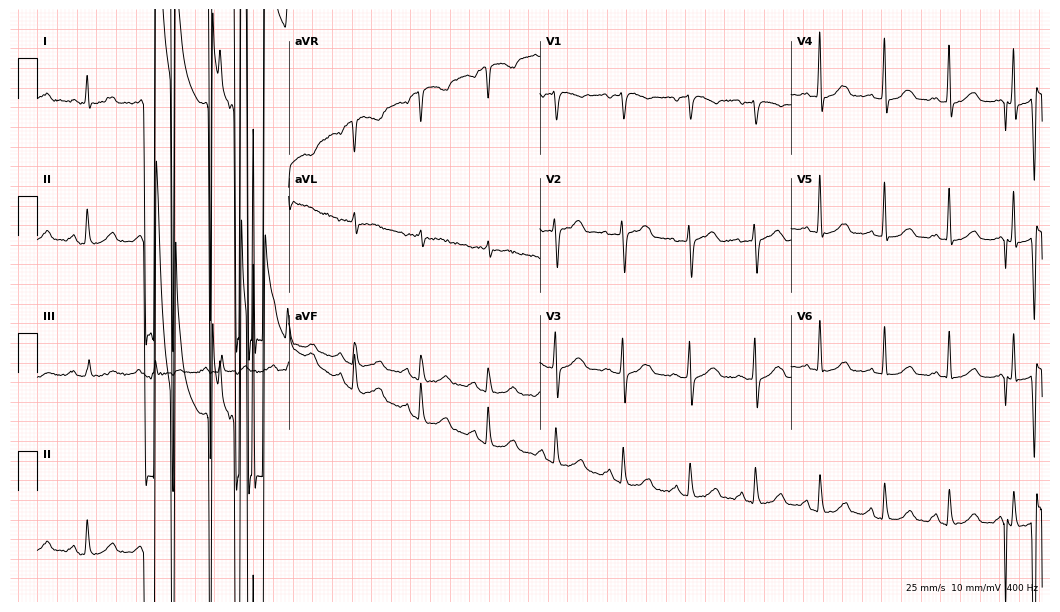
Electrocardiogram (10.2-second recording at 400 Hz), a female, 54 years old. Of the six screened findings (first-degree AV block, right bundle branch block, left bundle branch block, sinus bradycardia, atrial fibrillation, sinus tachycardia), none is recorded.